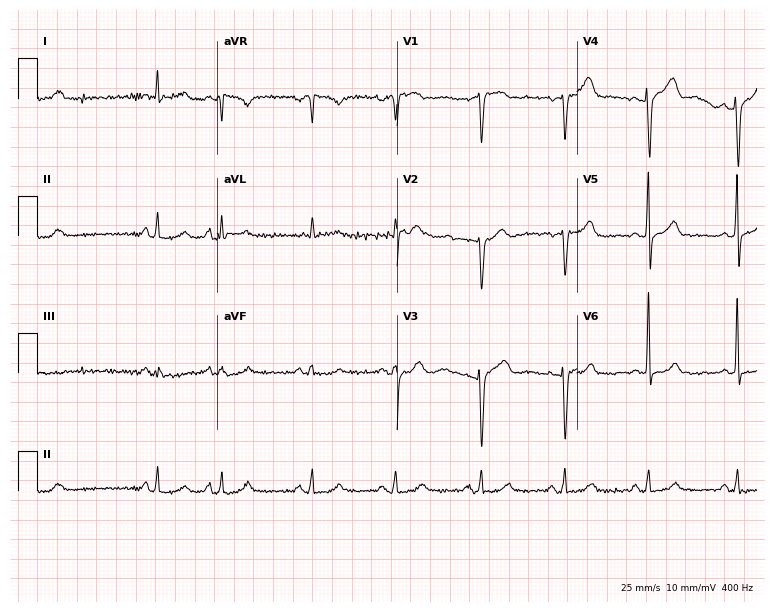
12-lead ECG from a female, 52 years old. Screened for six findings — first-degree AV block, right bundle branch block, left bundle branch block, sinus bradycardia, atrial fibrillation, sinus tachycardia — none is recorded.